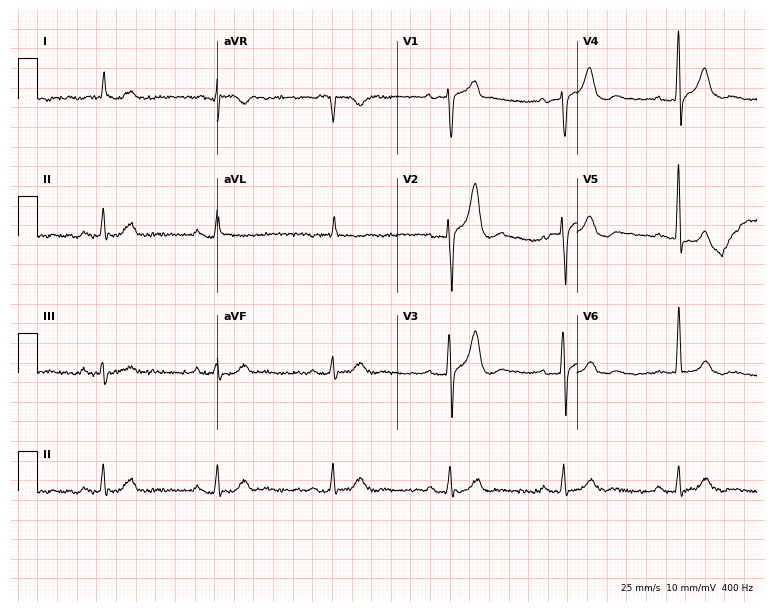
Resting 12-lead electrocardiogram (7.3-second recording at 400 Hz). Patient: a 71-year-old male. None of these six findings is recorded: first-degree AV block, right bundle branch block, left bundle branch block, sinus bradycardia, atrial fibrillation, sinus tachycardia.